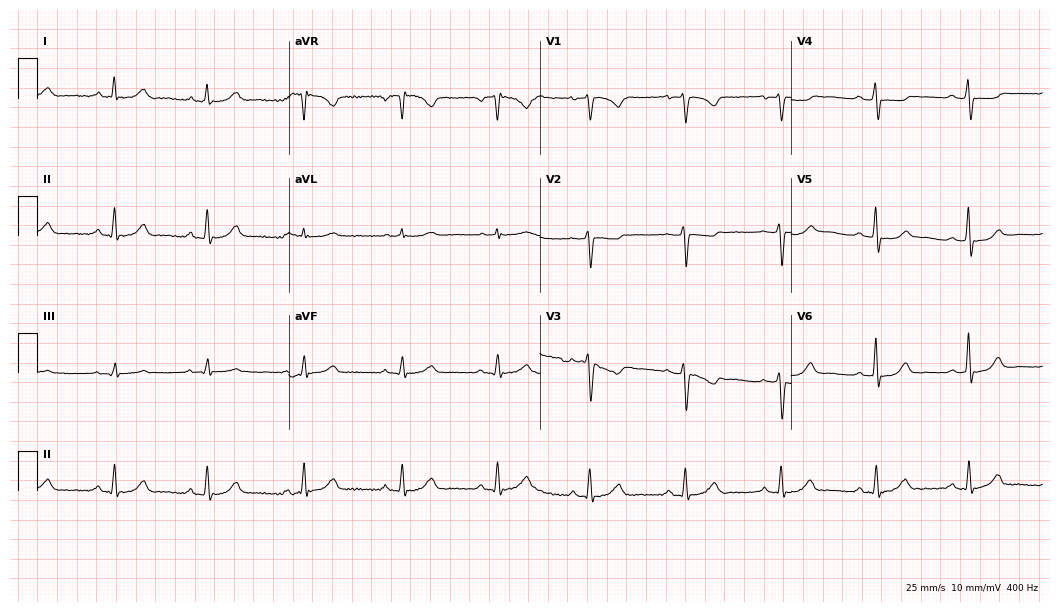
Resting 12-lead electrocardiogram (10.2-second recording at 400 Hz). Patient: a female, 48 years old. None of these six findings is recorded: first-degree AV block, right bundle branch block, left bundle branch block, sinus bradycardia, atrial fibrillation, sinus tachycardia.